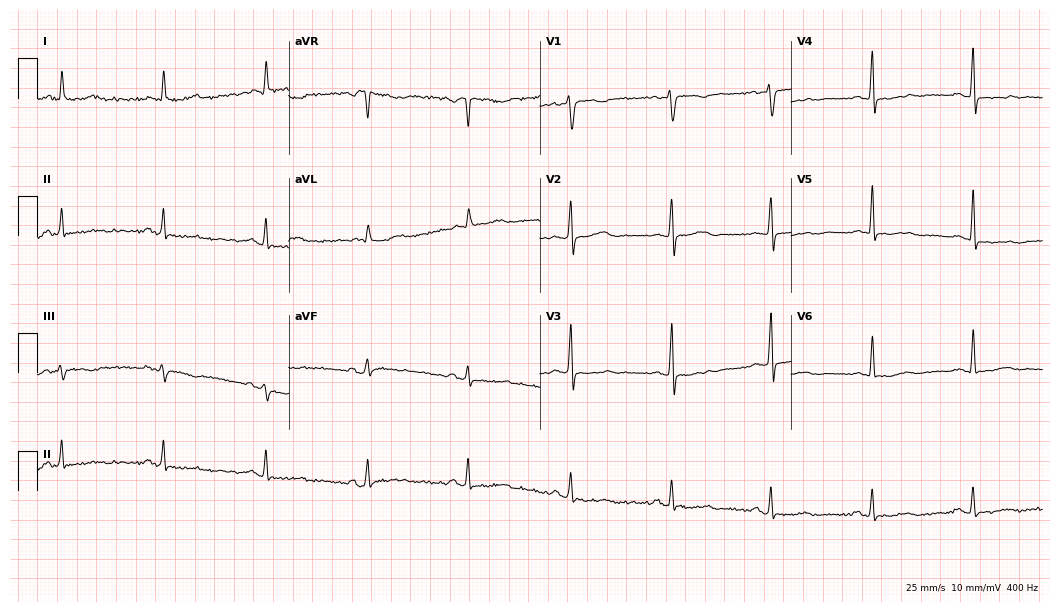
Electrocardiogram, a 64-year-old female patient. Of the six screened findings (first-degree AV block, right bundle branch block, left bundle branch block, sinus bradycardia, atrial fibrillation, sinus tachycardia), none is recorded. Only these six findings were labelled.